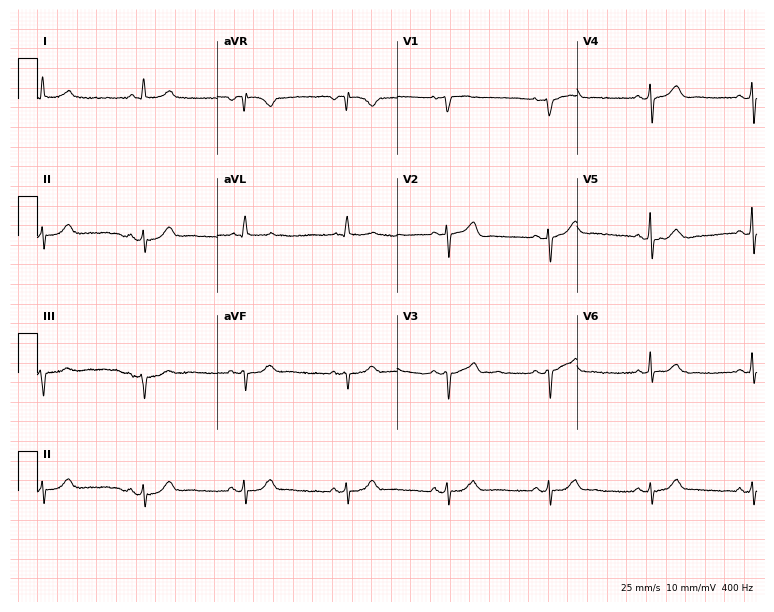
Resting 12-lead electrocardiogram (7.3-second recording at 400 Hz). Patient: an 82-year-old male. None of these six findings is recorded: first-degree AV block, right bundle branch block, left bundle branch block, sinus bradycardia, atrial fibrillation, sinus tachycardia.